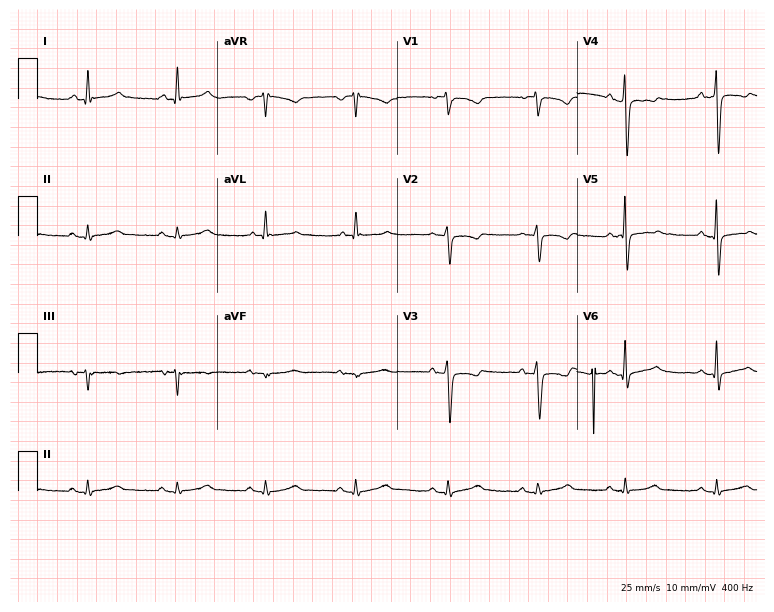
Electrocardiogram (7.3-second recording at 400 Hz), a 53-year-old male patient. Of the six screened findings (first-degree AV block, right bundle branch block (RBBB), left bundle branch block (LBBB), sinus bradycardia, atrial fibrillation (AF), sinus tachycardia), none is recorded.